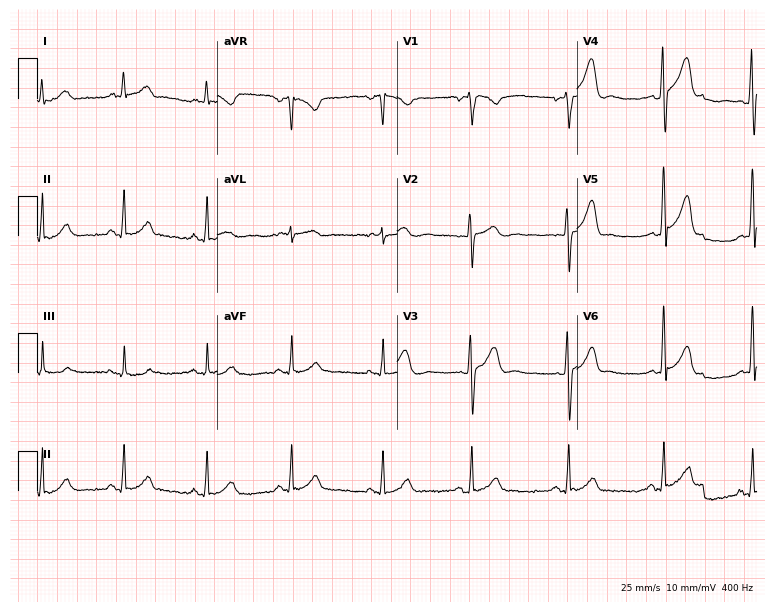
Resting 12-lead electrocardiogram. Patient: a male, 26 years old. None of these six findings is recorded: first-degree AV block, right bundle branch block (RBBB), left bundle branch block (LBBB), sinus bradycardia, atrial fibrillation (AF), sinus tachycardia. Findings outside these six are not listed.